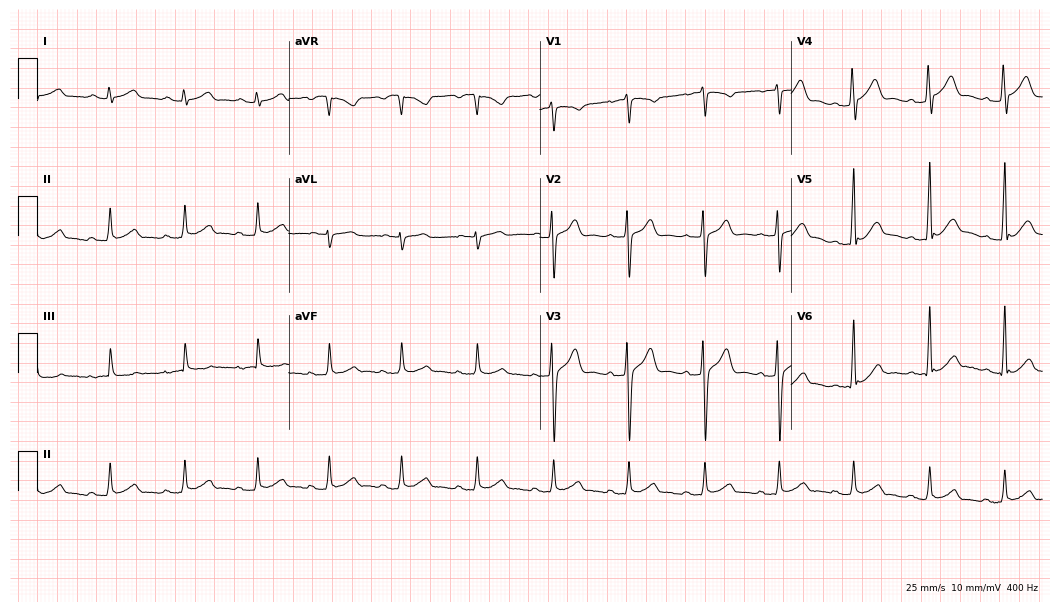
Electrocardiogram, a 27-year-old man. Overall reading on record: normal ECG.